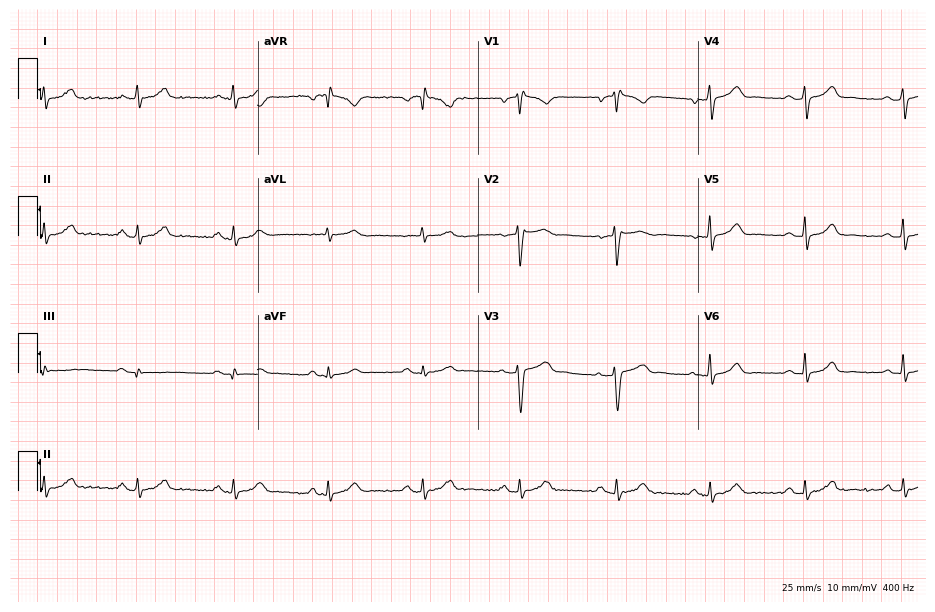
Standard 12-lead ECG recorded from a 52-year-old male. None of these six findings is recorded: first-degree AV block, right bundle branch block (RBBB), left bundle branch block (LBBB), sinus bradycardia, atrial fibrillation (AF), sinus tachycardia.